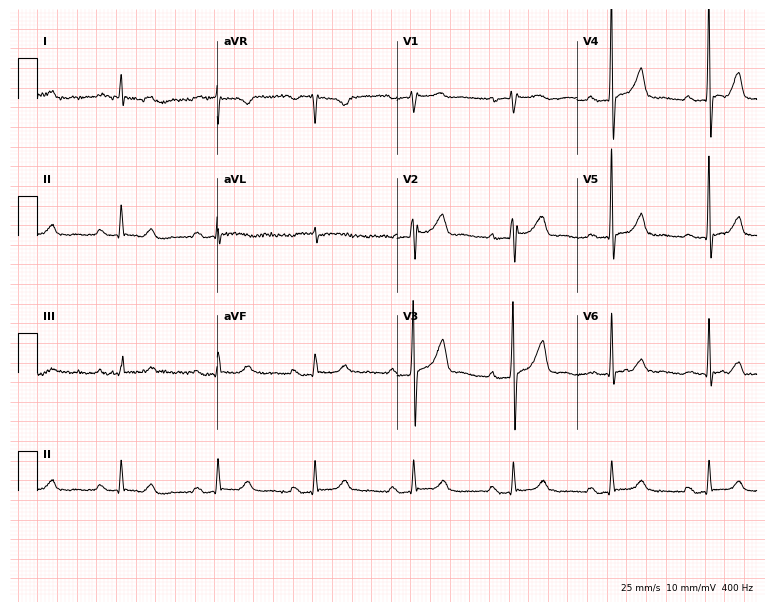
12-lead ECG from a male patient, 79 years old. Screened for six findings — first-degree AV block, right bundle branch block, left bundle branch block, sinus bradycardia, atrial fibrillation, sinus tachycardia — none is recorded.